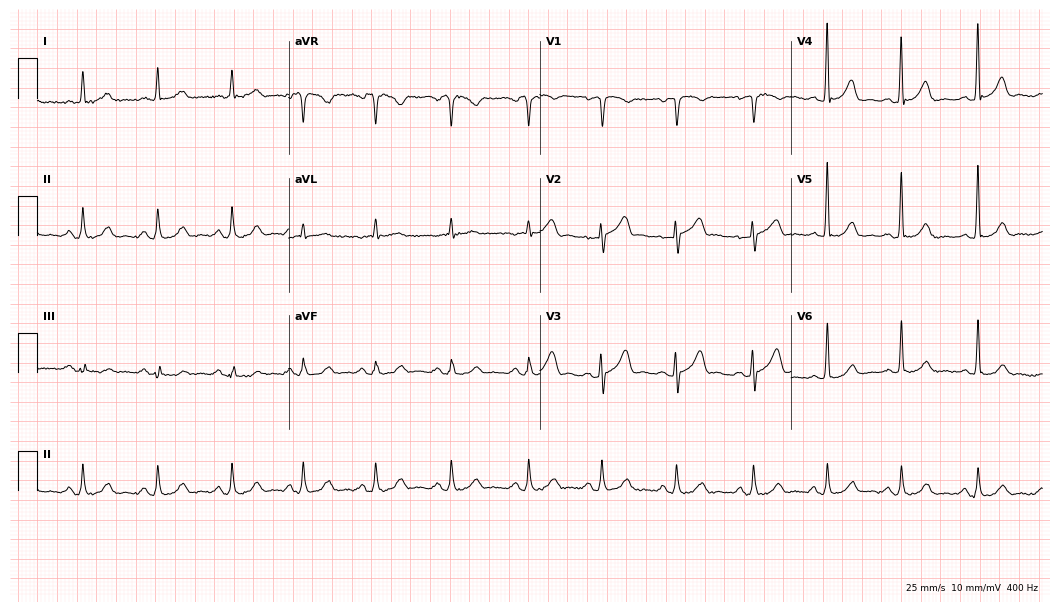
Resting 12-lead electrocardiogram. Patient: a woman, 85 years old. Read as a normal ECG.